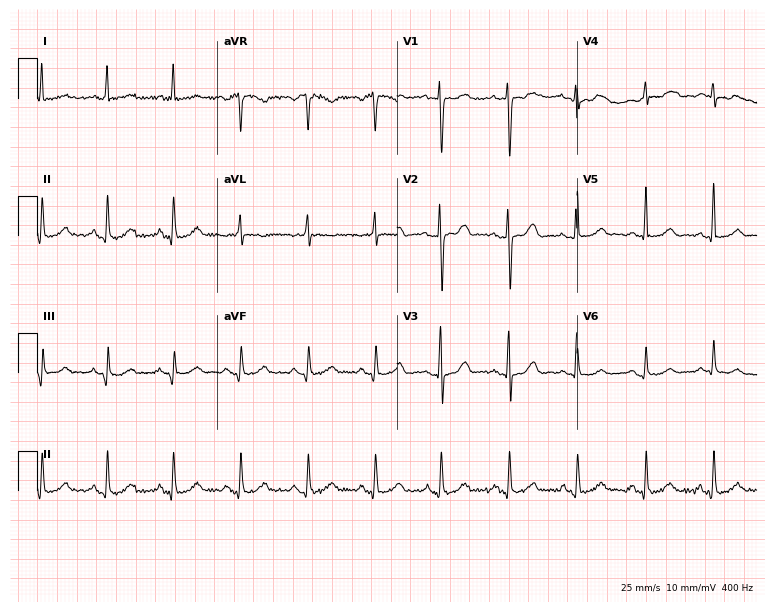
12-lead ECG from a 53-year-old female. No first-degree AV block, right bundle branch block (RBBB), left bundle branch block (LBBB), sinus bradycardia, atrial fibrillation (AF) or sinus tachycardia recorded for this tracing. Findings outside these six are not listed.